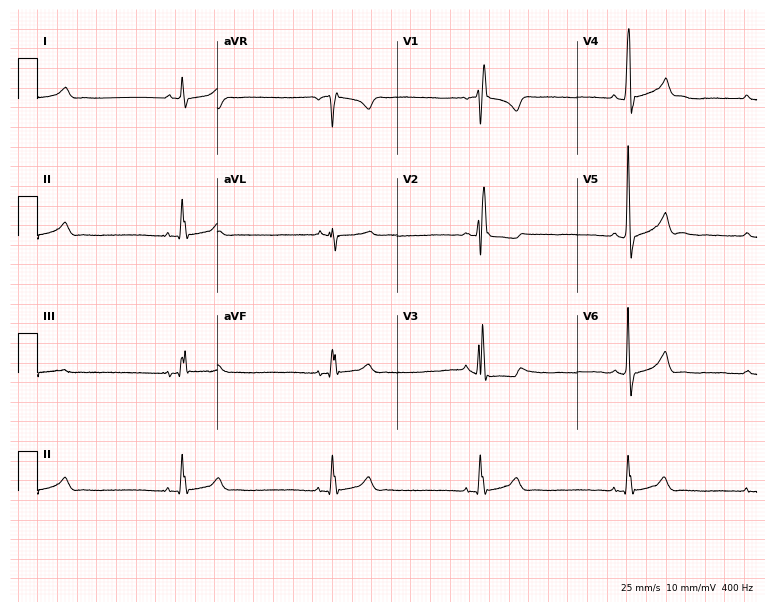
Resting 12-lead electrocardiogram. Patient: a male, 44 years old. The tracing shows sinus bradycardia (a sinus rate of 50 beats per minute or less).